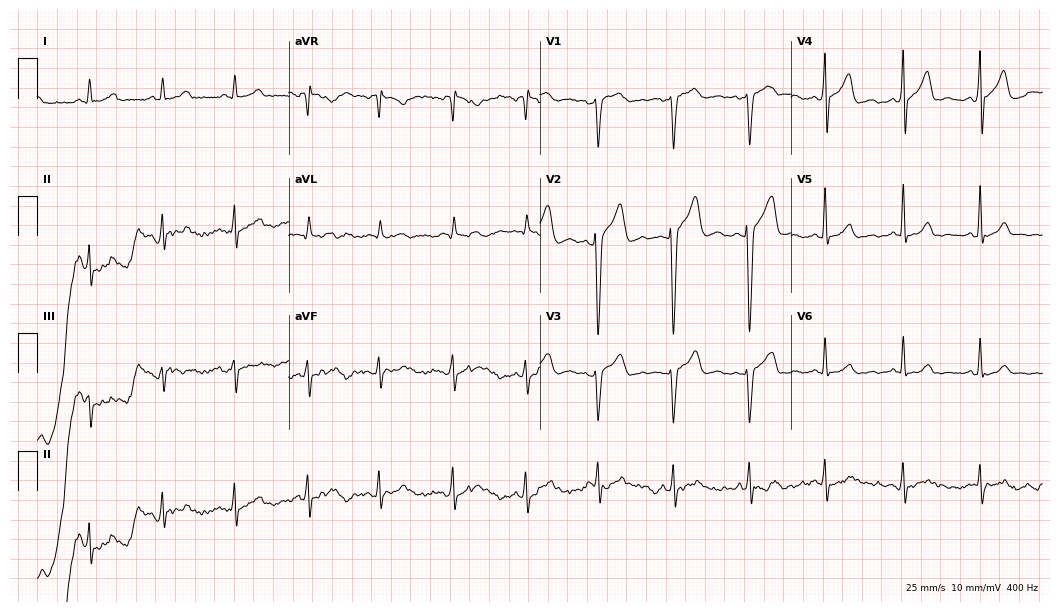
Standard 12-lead ECG recorded from a 42-year-old man. None of these six findings is recorded: first-degree AV block, right bundle branch block (RBBB), left bundle branch block (LBBB), sinus bradycardia, atrial fibrillation (AF), sinus tachycardia. Other findings, if any, are not listed.